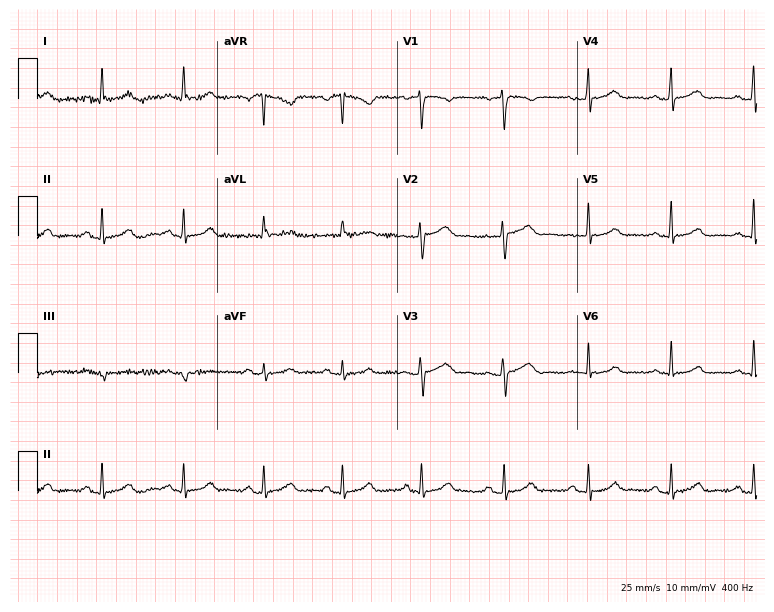
Resting 12-lead electrocardiogram. Patient: a 38-year-old woman. Read as a normal ECG.